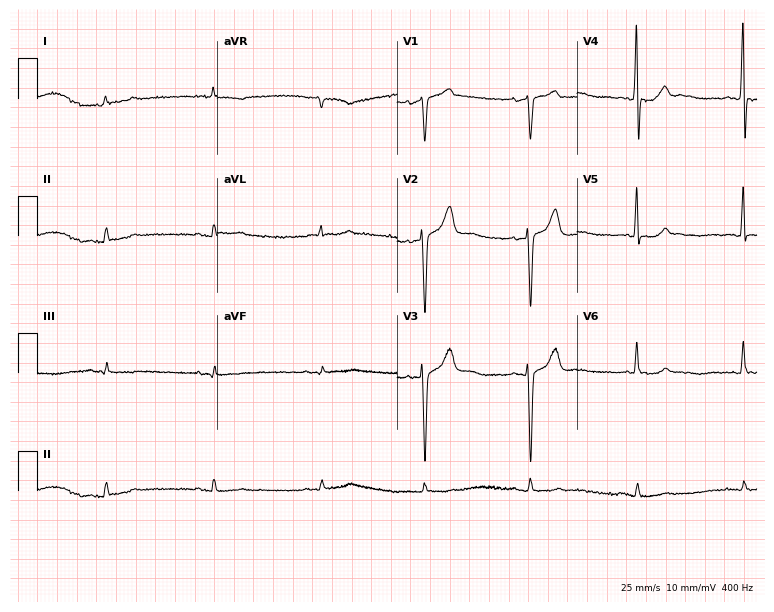
12-lead ECG from a male, 64 years old. No first-degree AV block, right bundle branch block, left bundle branch block, sinus bradycardia, atrial fibrillation or sinus tachycardia recorded for this tracing. Other findings, if any, are not listed.